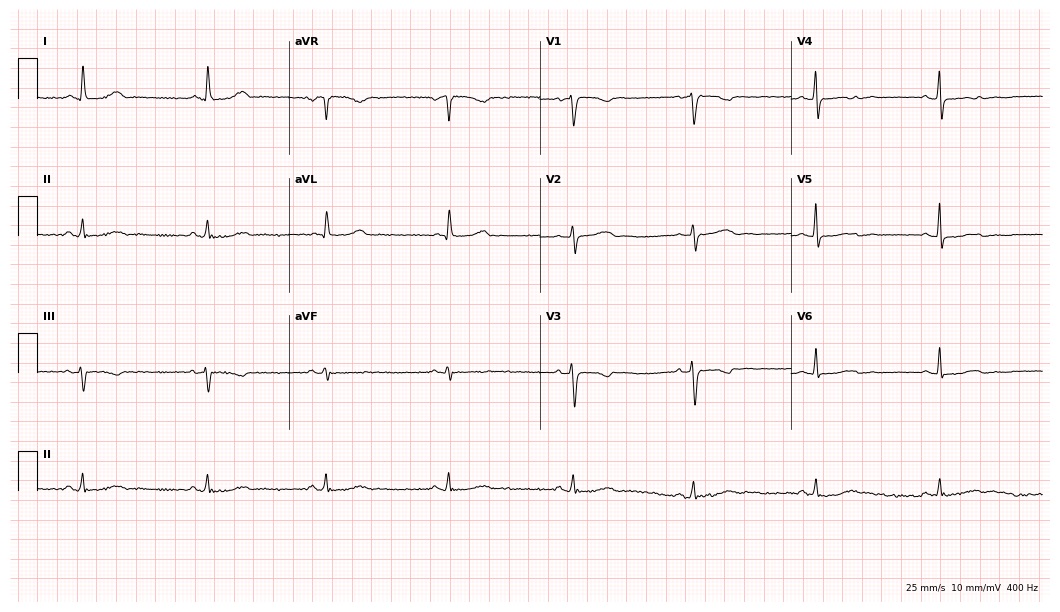
Standard 12-lead ECG recorded from a 62-year-old woman (10.2-second recording at 400 Hz). The tracing shows sinus bradycardia (a sinus rate of 50 beats per minute or less).